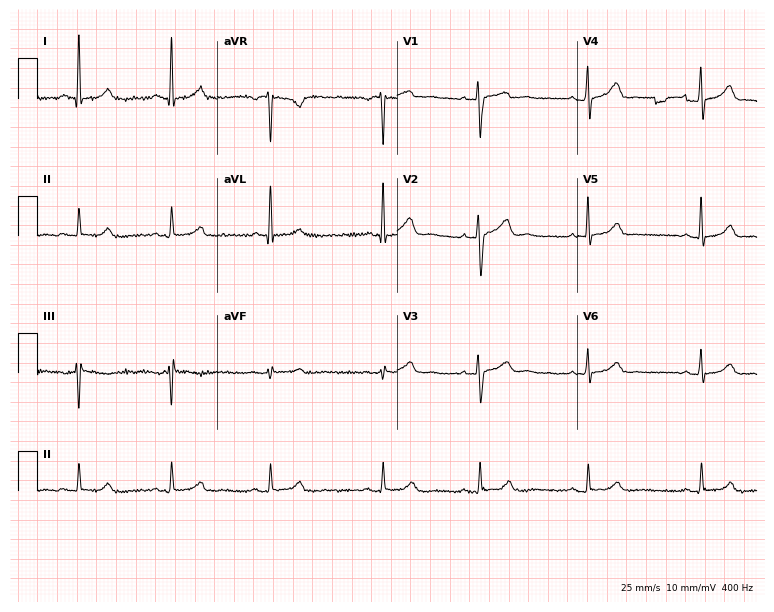
ECG (7.3-second recording at 400 Hz) — a female, 38 years old. Labelled as a normal ECG.